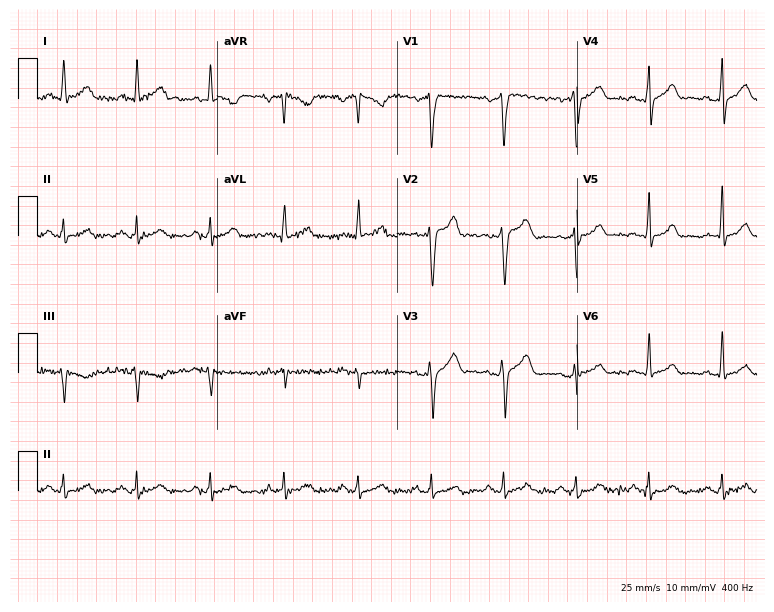
12-lead ECG from a 40-year-old man (7.3-second recording at 400 Hz). No first-degree AV block, right bundle branch block (RBBB), left bundle branch block (LBBB), sinus bradycardia, atrial fibrillation (AF) or sinus tachycardia recorded for this tracing.